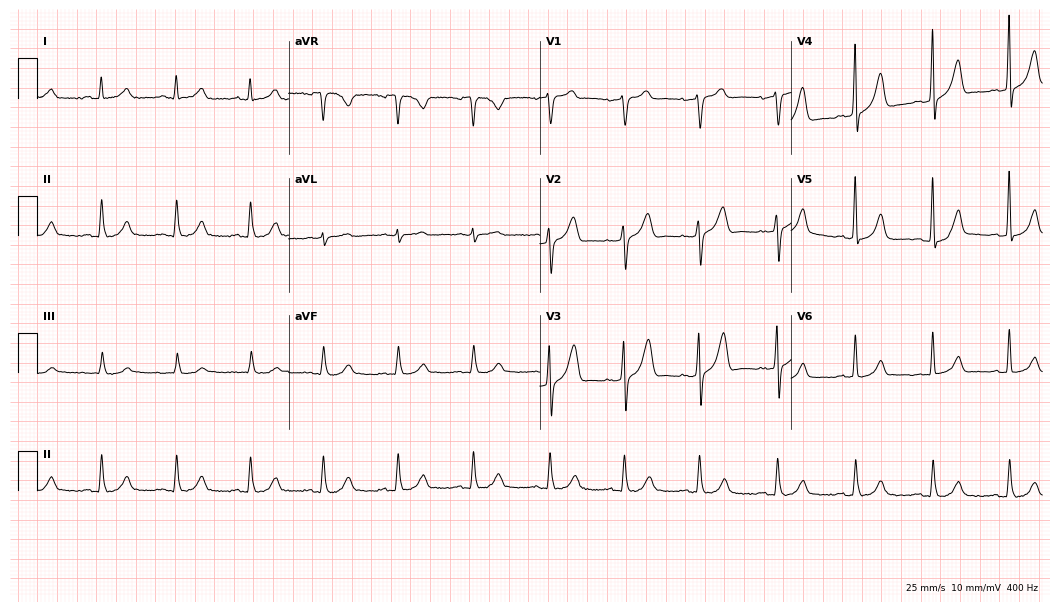
Resting 12-lead electrocardiogram. Patient: a 66-year-old man. None of these six findings is recorded: first-degree AV block, right bundle branch block, left bundle branch block, sinus bradycardia, atrial fibrillation, sinus tachycardia. Only these six findings were labelled.